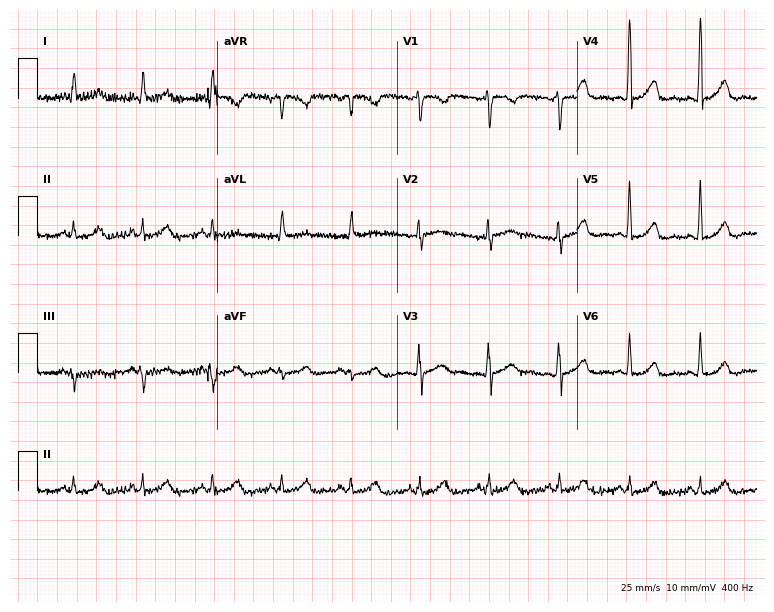
Resting 12-lead electrocardiogram (7.3-second recording at 400 Hz). Patient: a female, 53 years old. Read as a normal ECG.